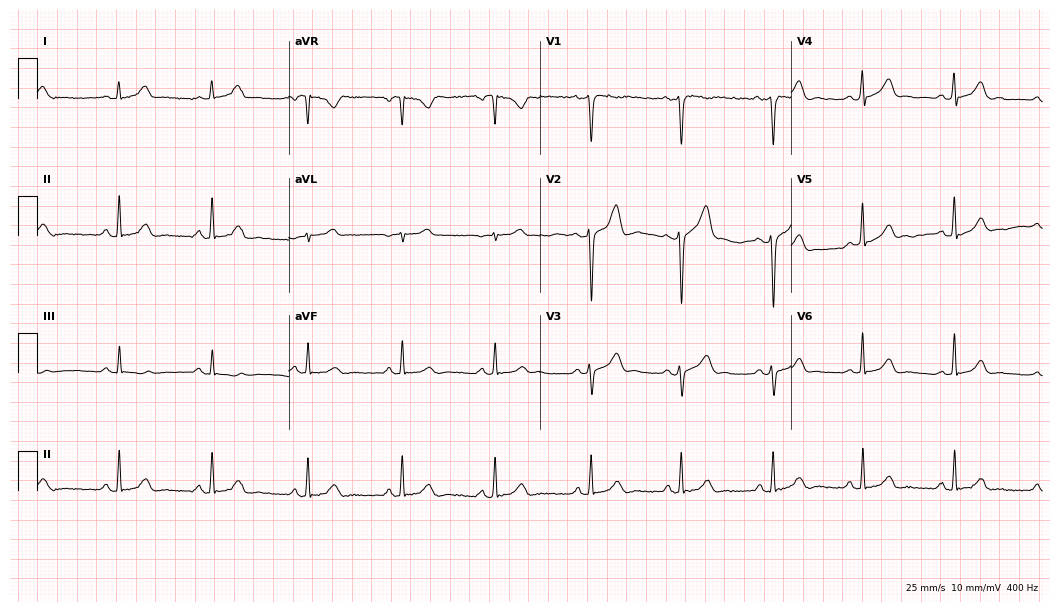
Resting 12-lead electrocardiogram. Patient: a 44-year-old man. Read as a normal ECG.